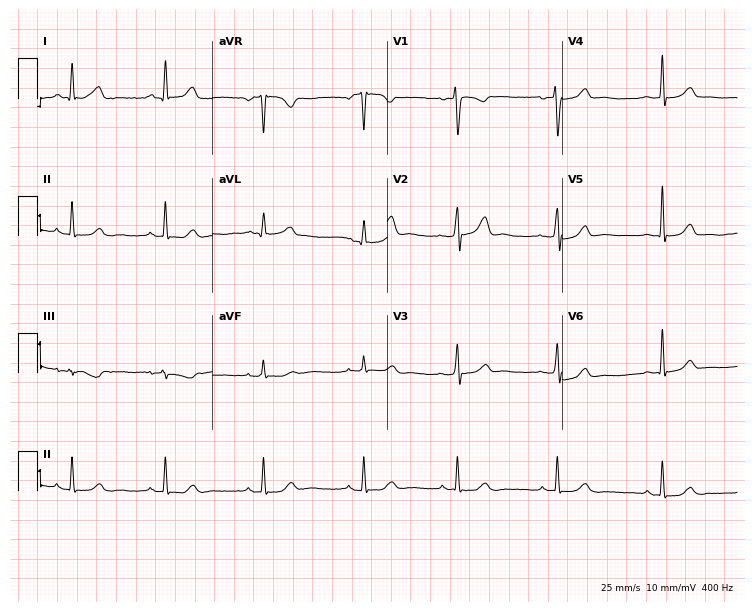
12-lead ECG from a 34-year-old female. Labelled as a normal ECG.